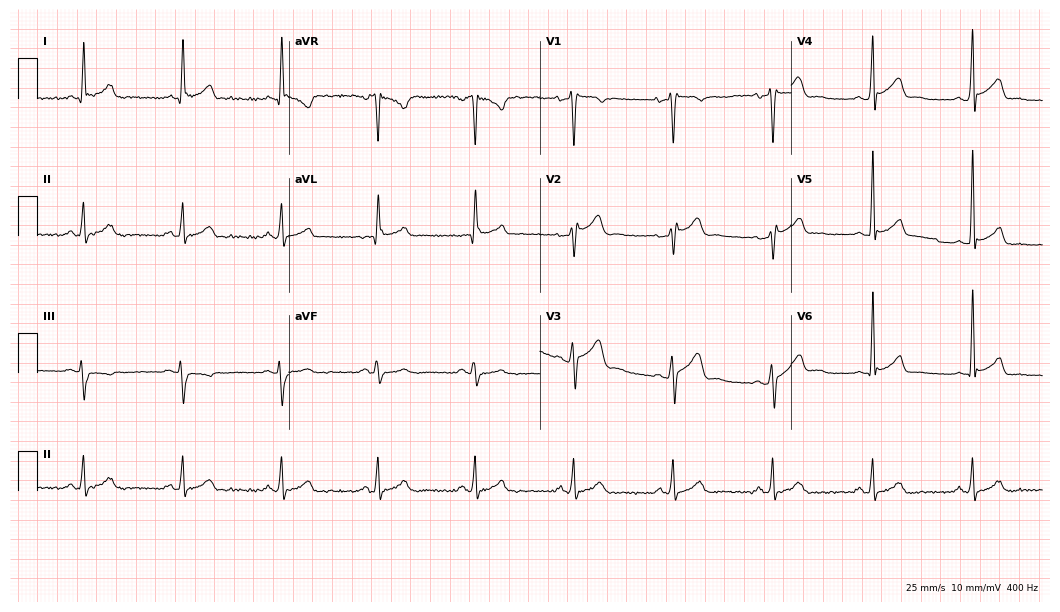
Electrocardiogram (10.2-second recording at 400 Hz), a male, 44 years old. Of the six screened findings (first-degree AV block, right bundle branch block, left bundle branch block, sinus bradycardia, atrial fibrillation, sinus tachycardia), none is recorded. Only these six findings were labelled.